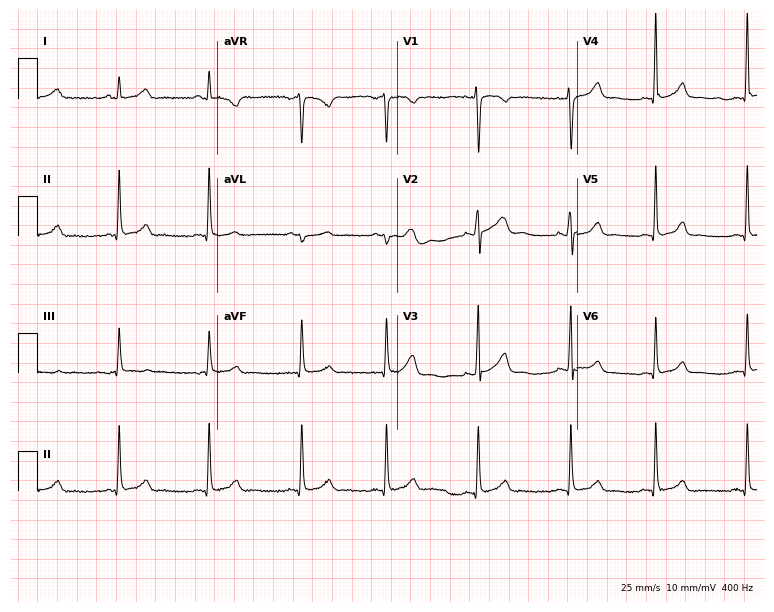
Standard 12-lead ECG recorded from a woman, 33 years old (7.3-second recording at 400 Hz). Read as a normal ECG.